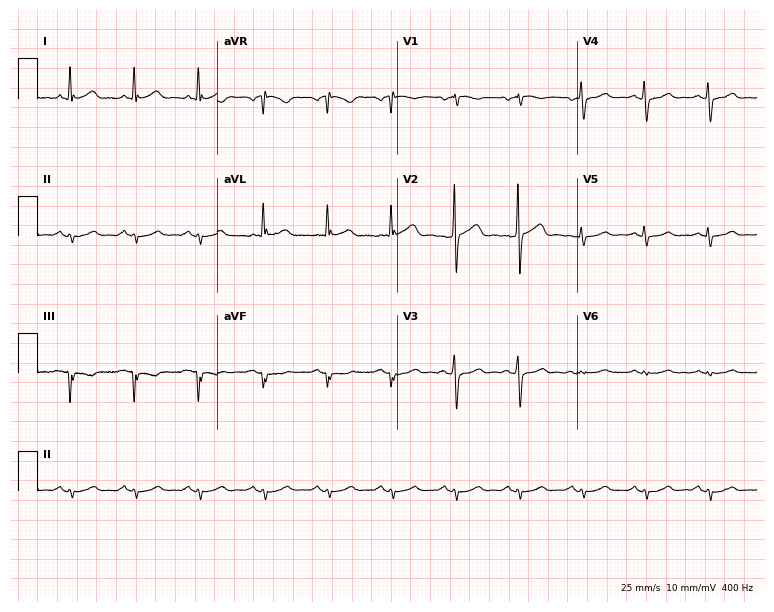
12-lead ECG from a man, 65 years old (7.3-second recording at 400 Hz). No first-degree AV block, right bundle branch block (RBBB), left bundle branch block (LBBB), sinus bradycardia, atrial fibrillation (AF) or sinus tachycardia recorded for this tracing.